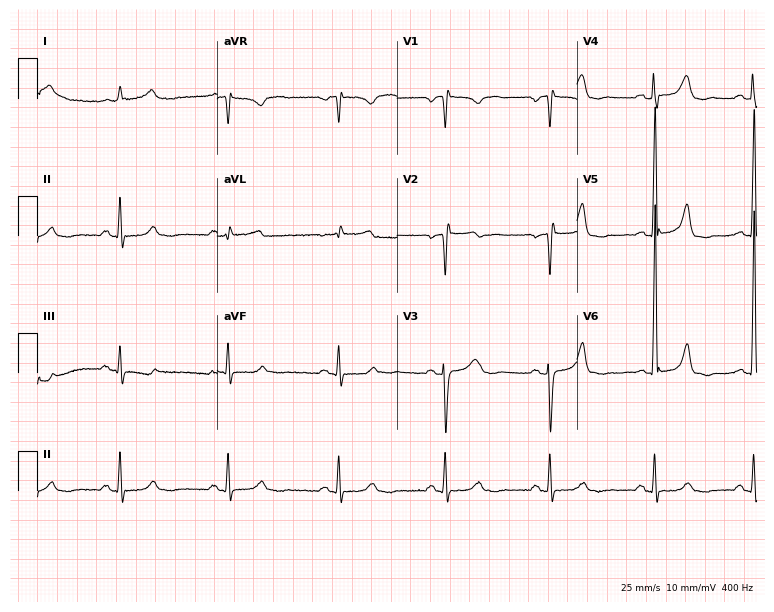
Electrocardiogram (7.3-second recording at 400 Hz), a female patient, 69 years old. Of the six screened findings (first-degree AV block, right bundle branch block, left bundle branch block, sinus bradycardia, atrial fibrillation, sinus tachycardia), none is recorded.